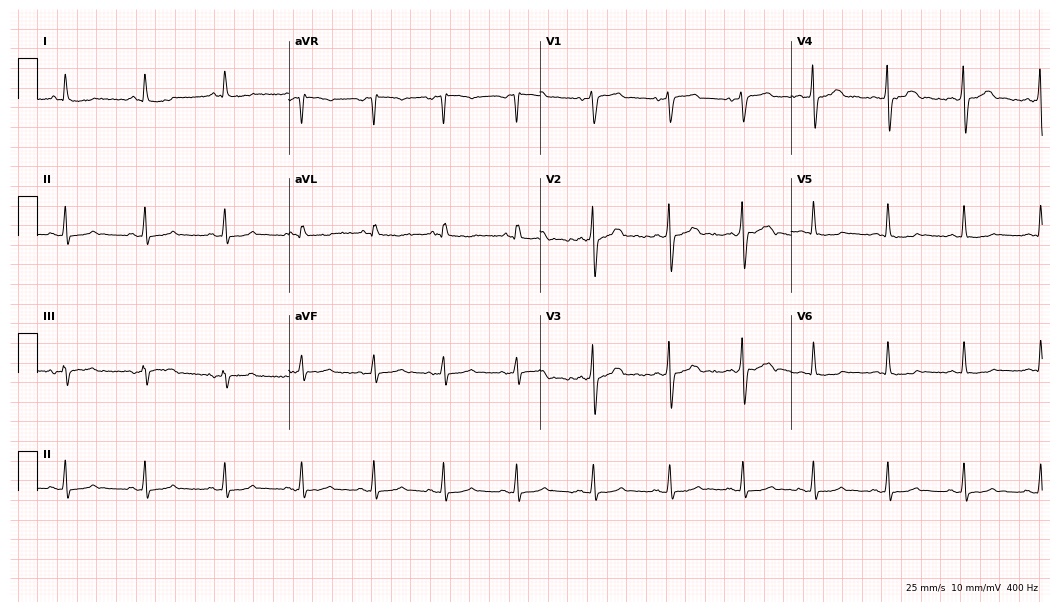
12-lead ECG from a 48-year-old man (10.2-second recording at 400 Hz). No first-degree AV block, right bundle branch block, left bundle branch block, sinus bradycardia, atrial fibrillation or sinus tachycardia recorded for this tracing.